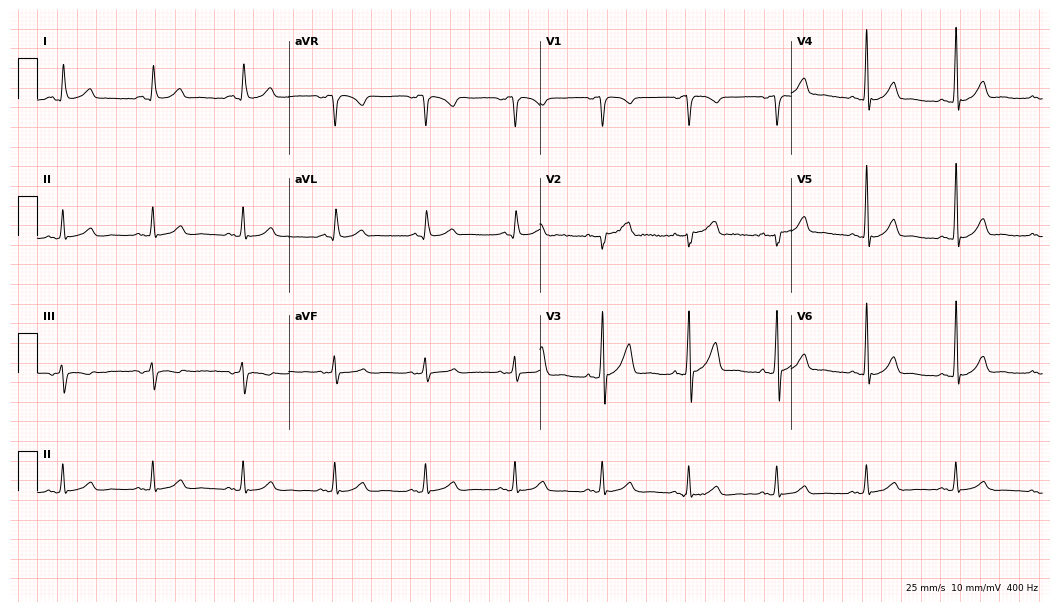
12-lead ECG from a male, 43 years old. Recorded interpretation: within normal limits.